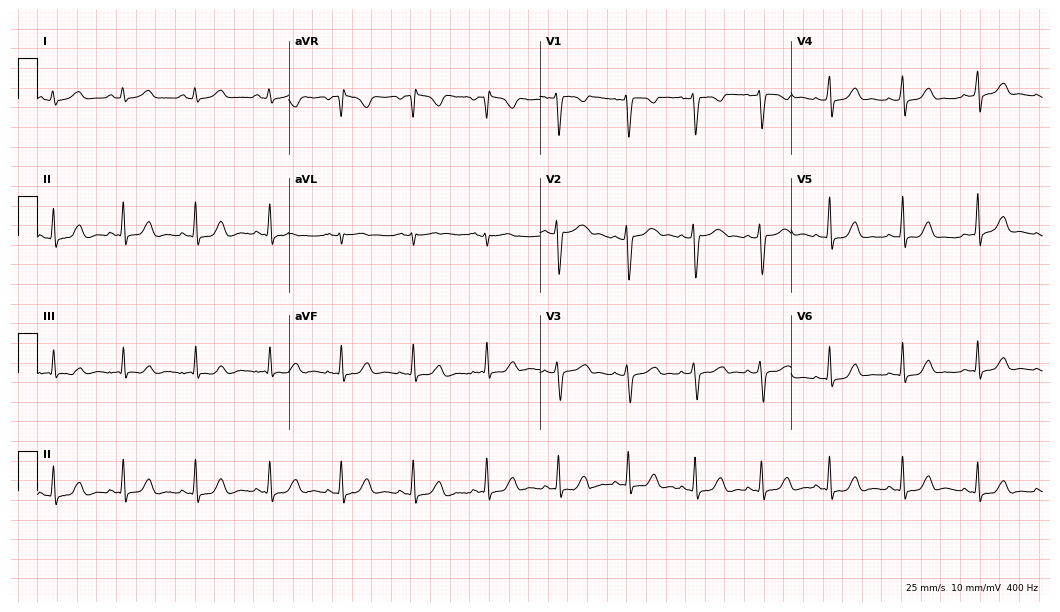
12-lead ECG from a woman, 24 years old. Recorded interpretation: within normal limits.